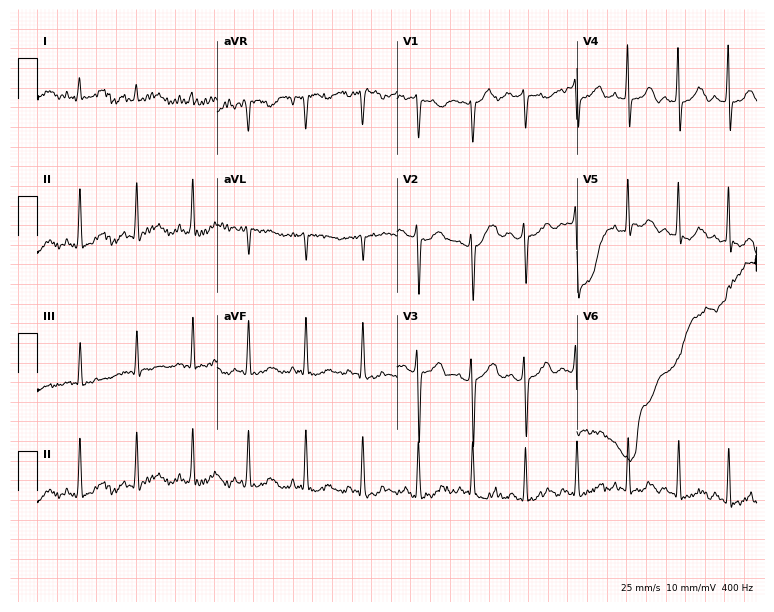
Resting 12-lead electrocardiogram (7.3-second recording at 400 Hz). Patient: a woman, 21 years old. None of these six findings is recorded: first-degree AV block, right bundle branch block (RBBB), left bundle branch block (LBBB), sinus bradycardia, atrial fibrillation (AF), sinus tachycardia.